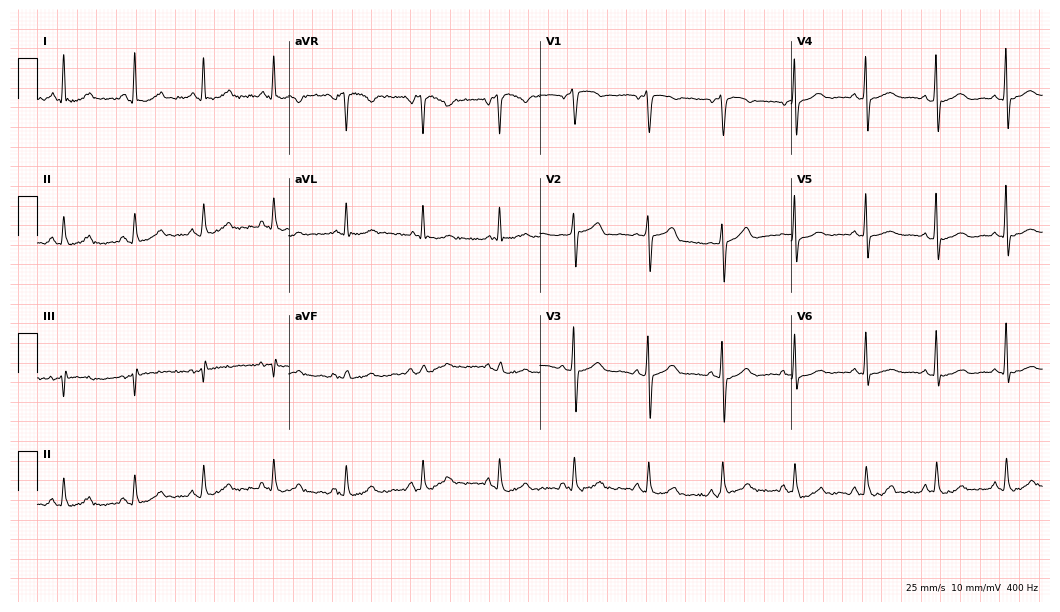
Electrocardiogram (10.2-second recording at 400 Hz), a female patient, 61 years old. Overall reading on record: normal ECG.